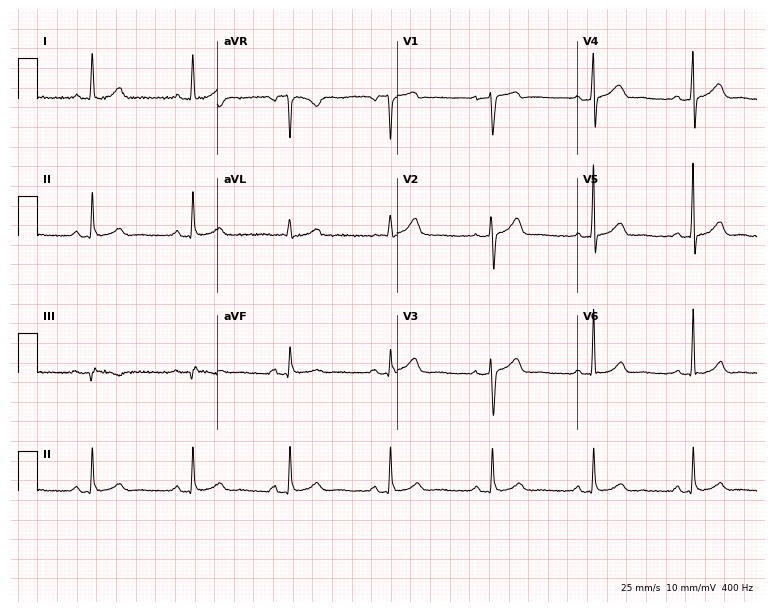
ECG — a 60-year-old female. Labelled as a normal ECG.